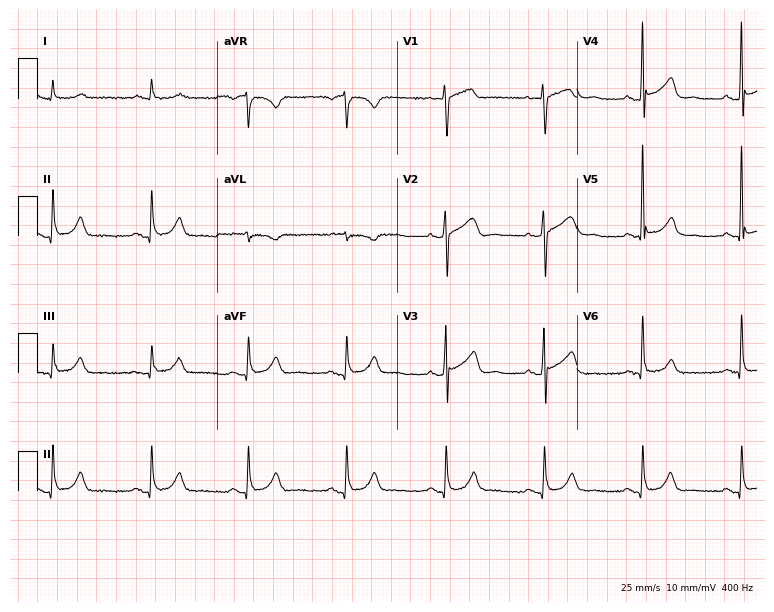
ECG — a man, 61 years old. Screened for six findings — first-degree AV block, right bundle branch block, left bundle branch block, sinus bradycardia, atrial fibrillation, sinus tachycardia — none is recorded.